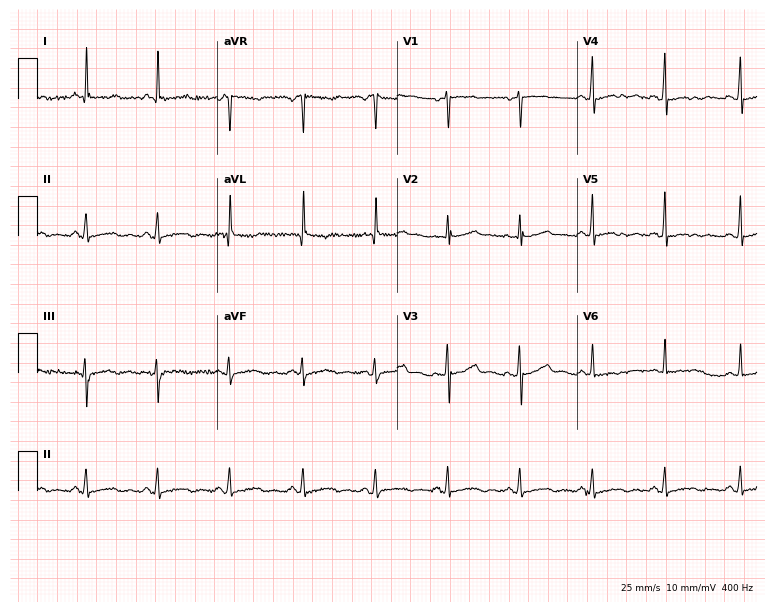
ECG (7.3-second recording at 400 Hz) — a woman, 52 years old. Screened for six findings — first-degree AV block, right bundle branch block (RBBB), left bundle branch block (LBBB), sinus bradycardia, atrial fibrillation (AF), sinus tachycardia — none is recorded.